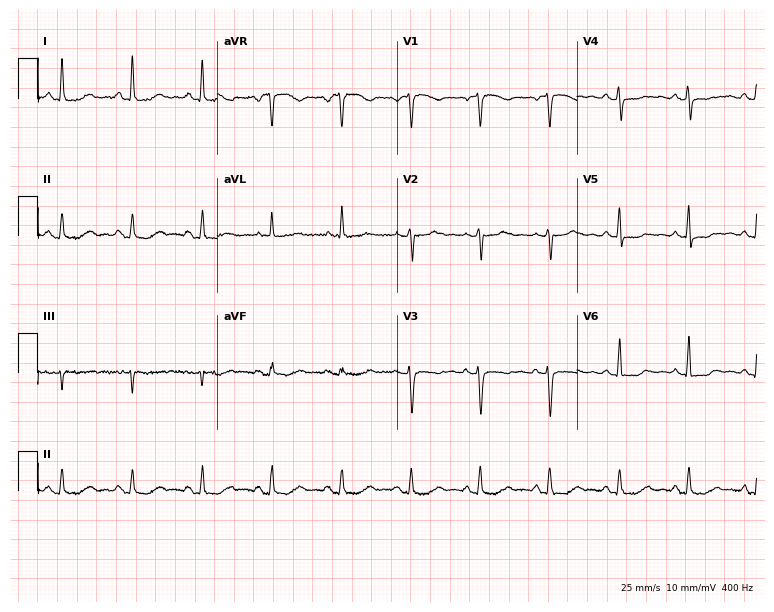
12-lead ECG from a female, 61 years old. No first-degree AV block, right bundle branch block, left bundle branch block, sinus bradycardia, atrial fibrillation or sinus tachycardia recorded for this tracing. Other findings, if any, are not listed.